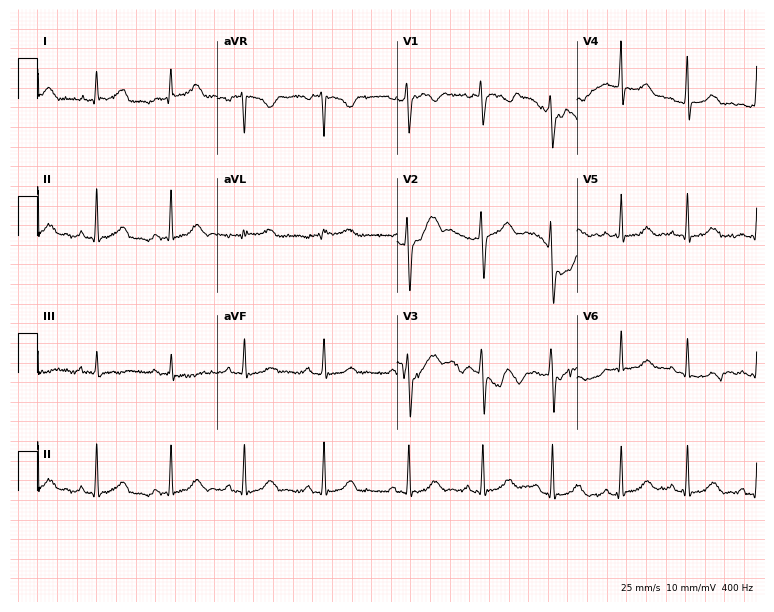
Electrocardiogram (7.3-second recording at 400 Hz), a 23-year-old woman. Of the six screened findings (first-degree AV block, right bundle branch block, left bundle branch block, sinus bradycardia, atrial fibrillation, sinus tachycardia), none is recorded.